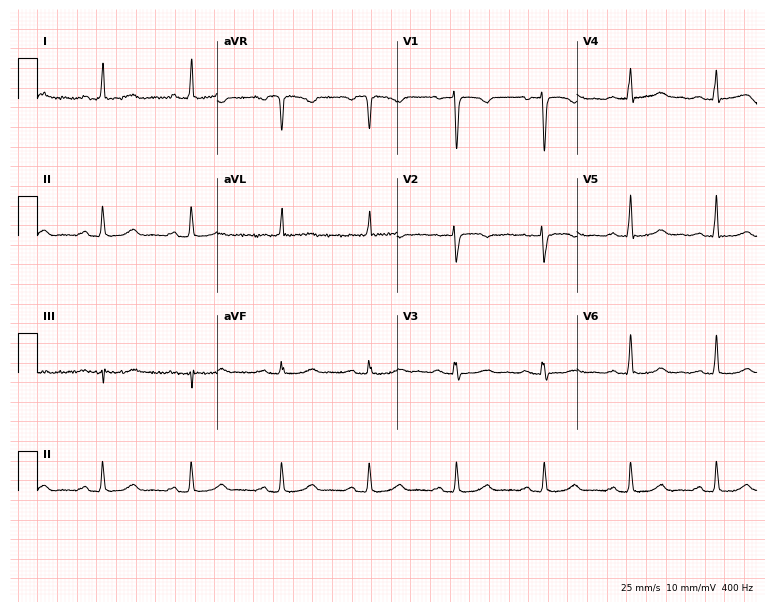
Standard 12-lead ECG recorded from a 55-year-old woman (7.3-second recording at 400 Hz). Read as a normal ECG.